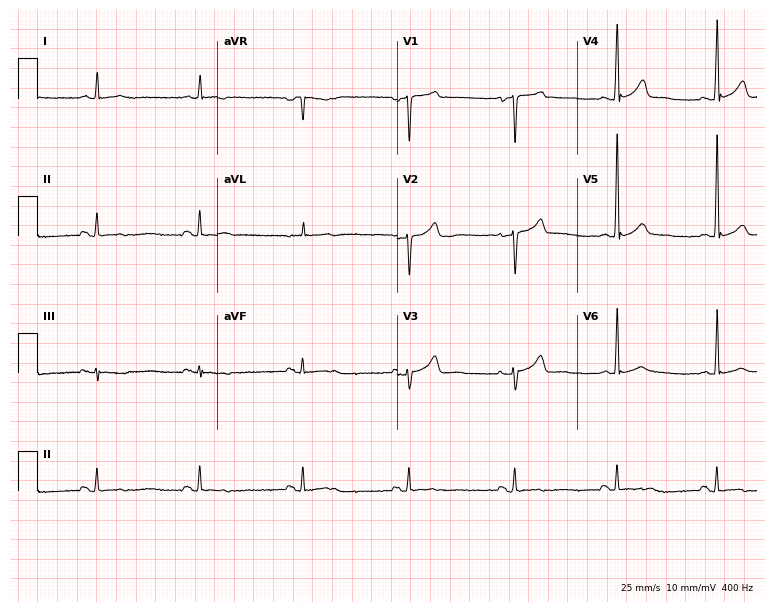
12-lead ECG (7.3-second recording at 400 Hz) from a man, 45 years old. Screened for six findings — first-degree AV block, right bundle branch block (RBBB), left bundle branch block (LBBB), sinus bradycardia, atrial fibrillation (AF), sinus tachycardia — none is recorded.